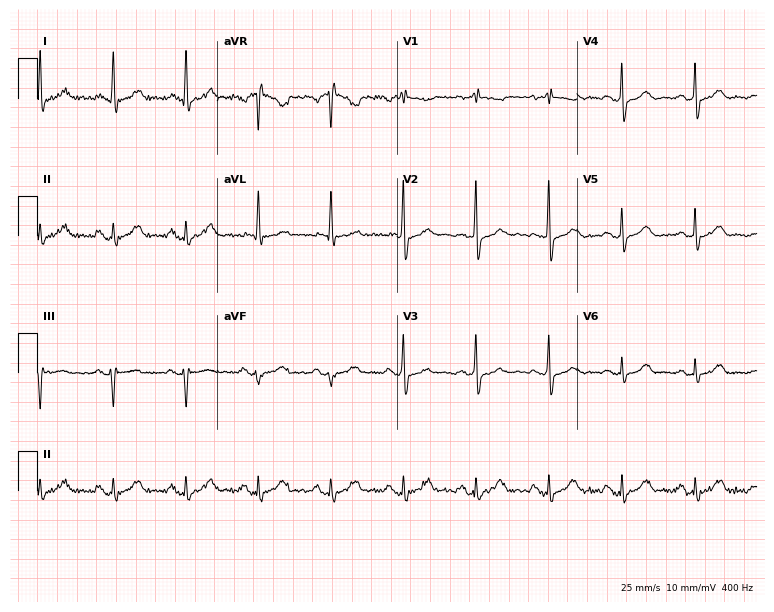
Resting 12-lead electrocardiogram. Patient: a female, 75 years old. None of these six findings is recorded: first-degree AV block, right bundle branch block, left bundle branch block, sinus bradycardia, atrial fibrillation, sinus tachycardia.